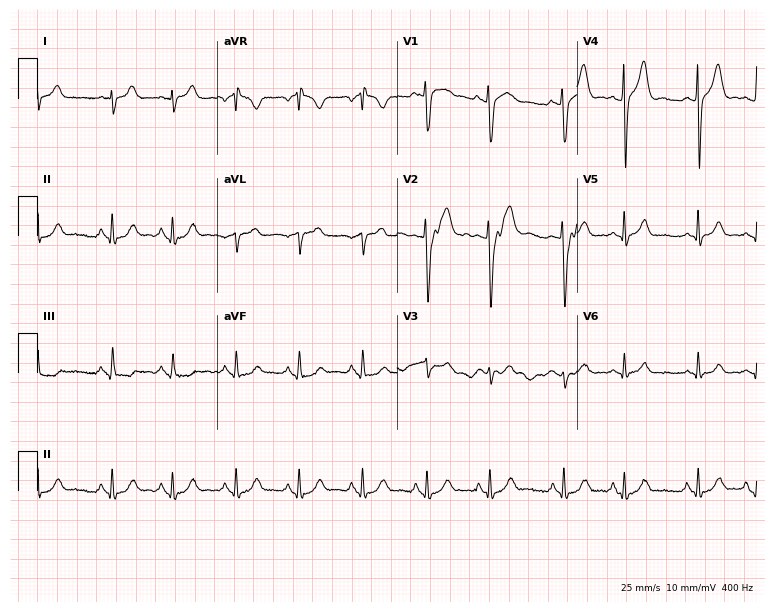
ECG — an 18-year-old male patient. Screened for six findings — first-degree AV block, right bundle branch block, left bundle branch block, sinus bradycardia, atrial fibrillation, sinus tachycardia — none is recorded. Other findings, if any, are not listed.